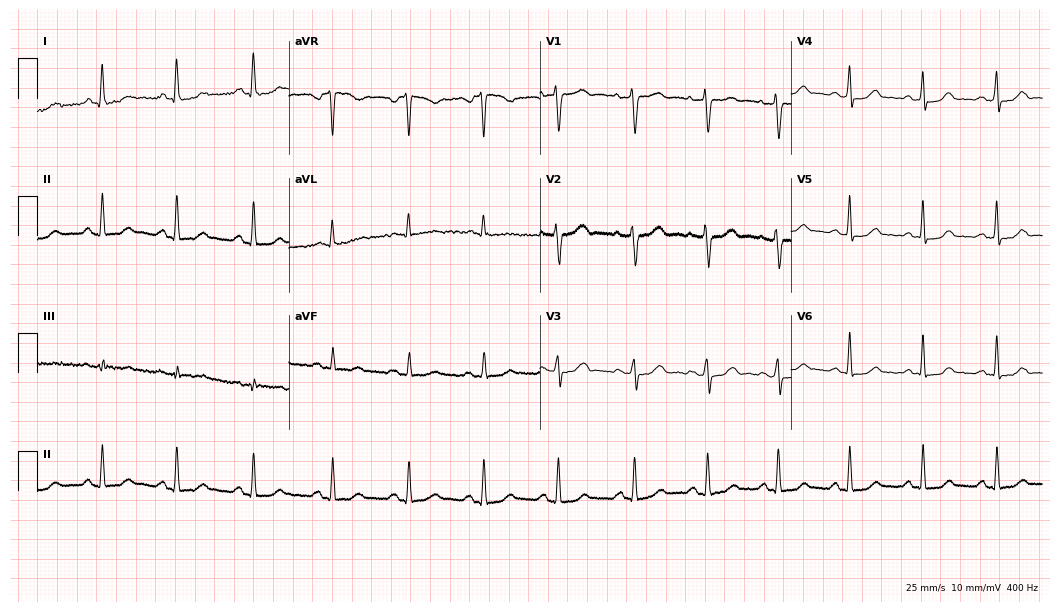
Resting 12-lead electrocardiogram. Patient: a 39-year-old woman. None of these six findings is recorded: first-degree AV block, right bundle branch block, left bundle branch block, sinus bradycardia, atrial fibrillation, sinus tachycardia.